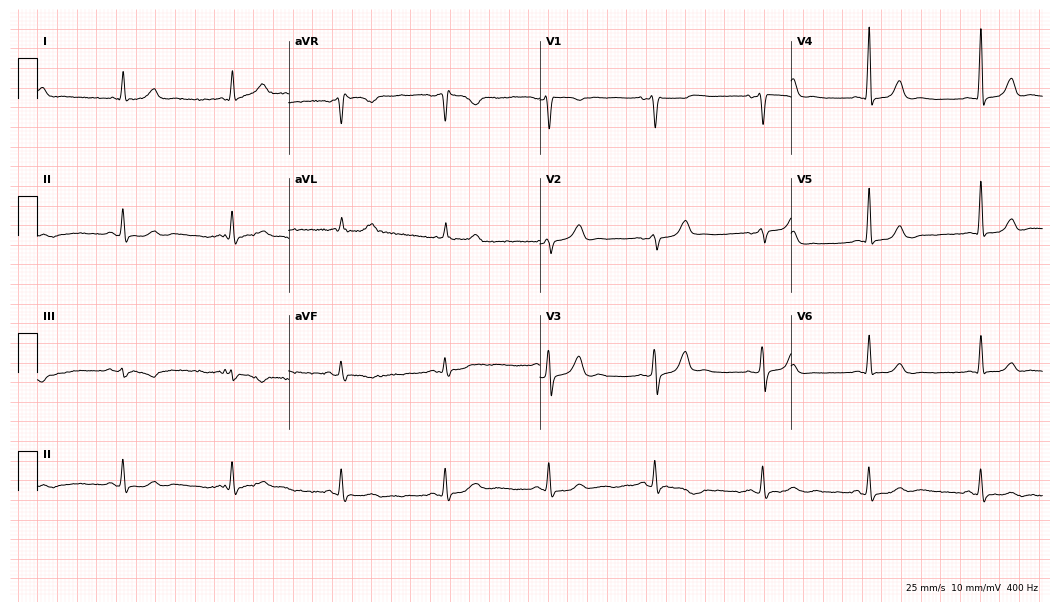
12-lead ECG from a 50-year-old male patient (10.2-second recording at 400 Hz). No first-degree AV block, right bundle branch block, left bundle branch block, sinus bradycardia, atrial fibrillation or sinus tachycardia recorded for this tracing.